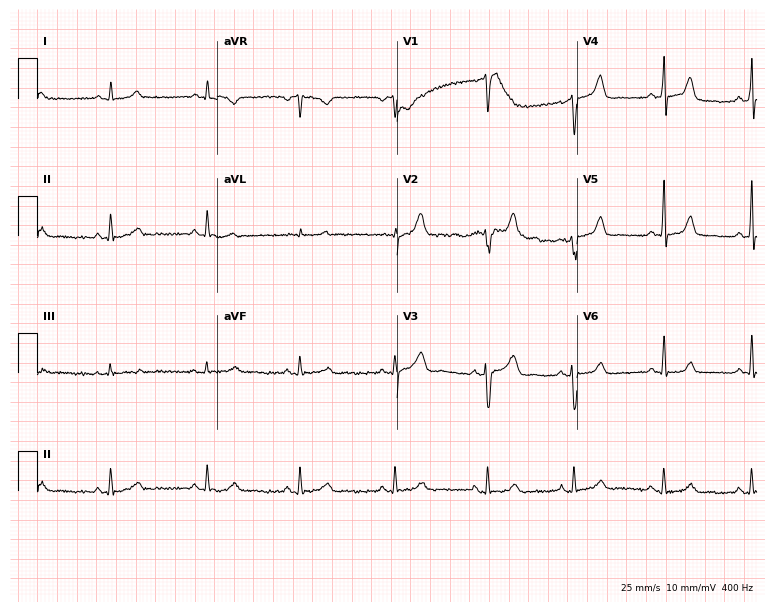
12-lead ECG from a 44-year-old female. Screened for six findings — first-degree AV block, right bundle branch block (RBBB), left bundle branch block (LBBB), sinus bradycardia, atrial fibrillation (AF), sinus tachycardia — none is recorded.